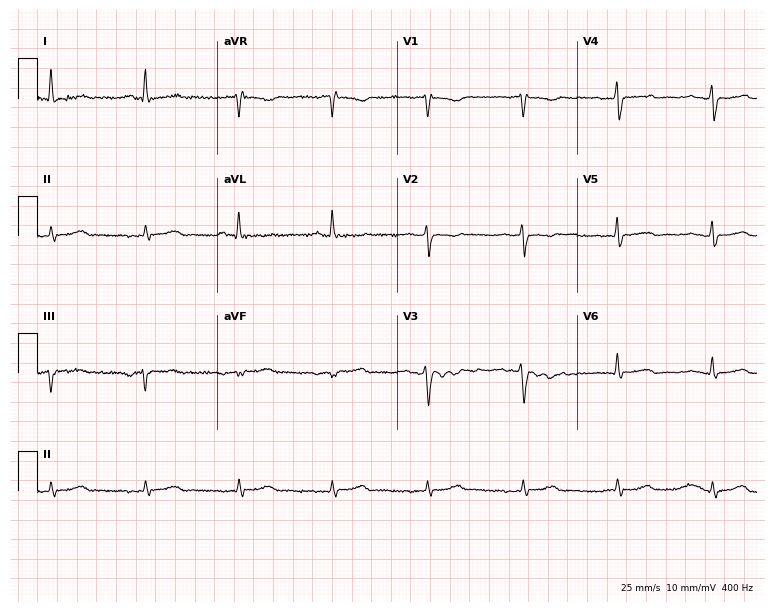
12-lead ECG from a 71-year-old woman. No first-degree AV block, right bundle branch block, left bundle branch block, sinus bradycardia, atrial fibrillation or sinus tachycardia recorded for this tracing. Findings outside these six are not listed.